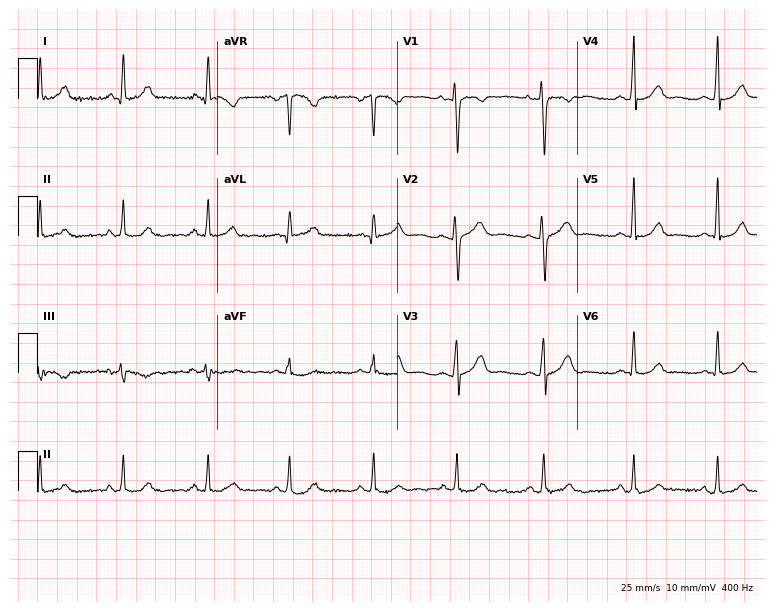
Resting 12-lead electrocardiogram (7.3-second recording at 400 Hz). Patient: a woman, 29 years old. Read as a normal ECG.